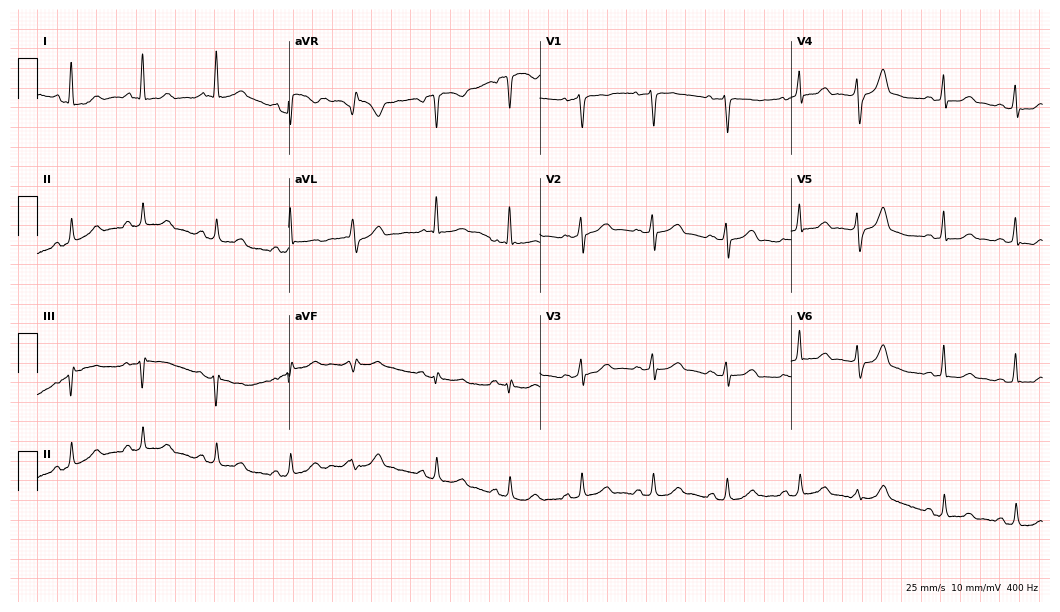
Resting 12-lead electrocardiogram (10.2-second recording at 400 Hz). Patient: a female, 55 years old. Read as a normal ECG.